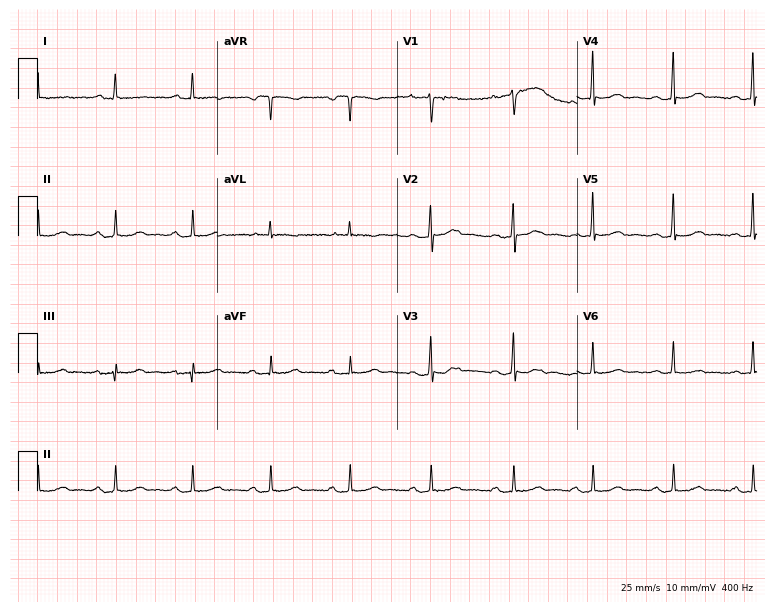
ECG — a 56-year-old female. Screened for six findings — first-degree AV block, right bundle branch block, left bundle branch block, sinus bradycardia, atrial fibrillation, sinus tachycardia — none is recorded. Findings outside these six are not listed.